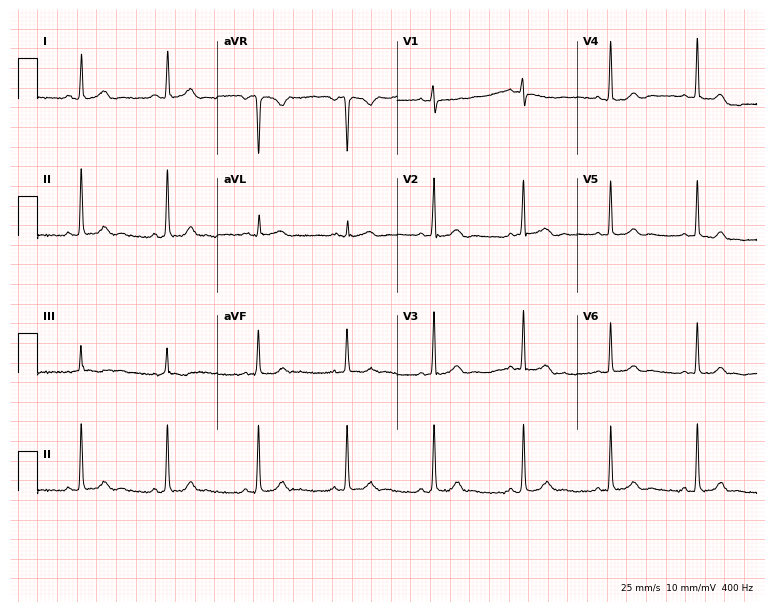
Resting 12-lead electrocardiogram (7.3-second recording at 400 Hz). Patient: a 28-year-old woman. Read as a normal ECG.